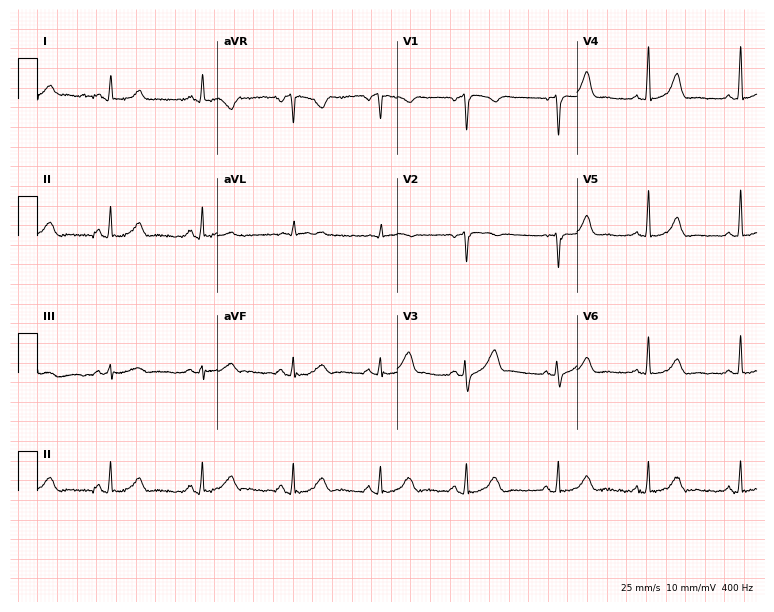
Electrocardiogram (7.3-second recording at 400 Hz), a 48-year-old woman. Of the six screened findings (first-degree AV block, right bundle branch block (RBBB), left bundle branch block (LBBB), sinus bradycardia, atrial fibrillation (AF), sinus tachycardia), none is recorded. Findings outside these six are not listed.